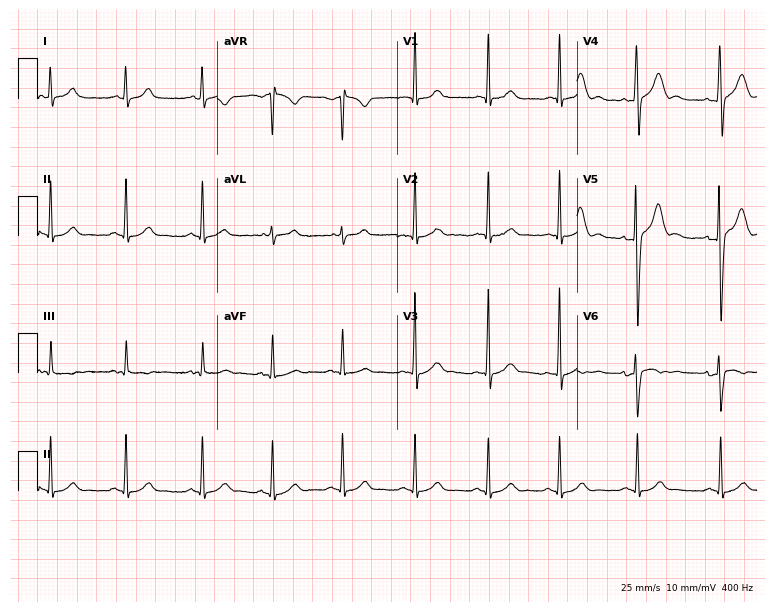
ECG (7.3-second recording at 400 Hz) — a 27-year-old male patient. Labelled as a normal ECG.